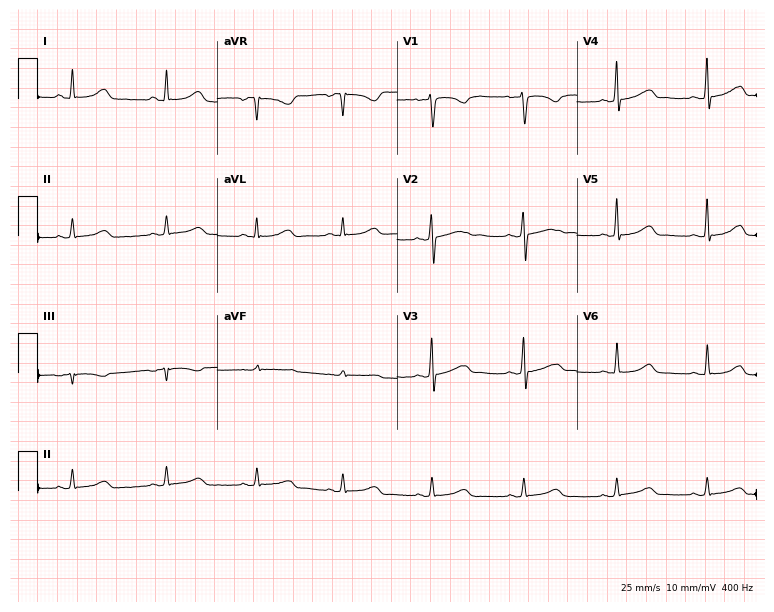
ECG — a 34-year-old female patient. Screened for six findings — first-degree AV block, right bundle branch block, left bundle branch block, sinus bradycardia, atrial fibrillation, sinus tachycardia — none is recorded.